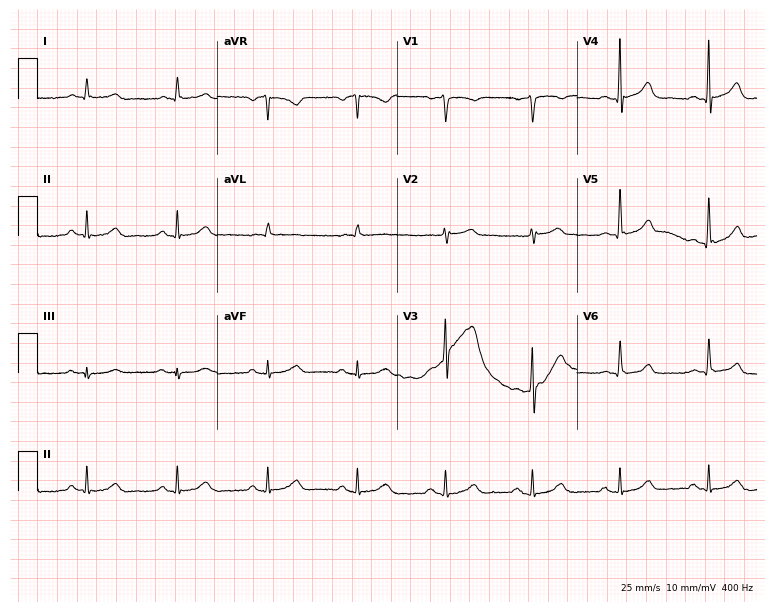
12-lead ECG from a male, 53 years old. Labelled as a normal ECG.